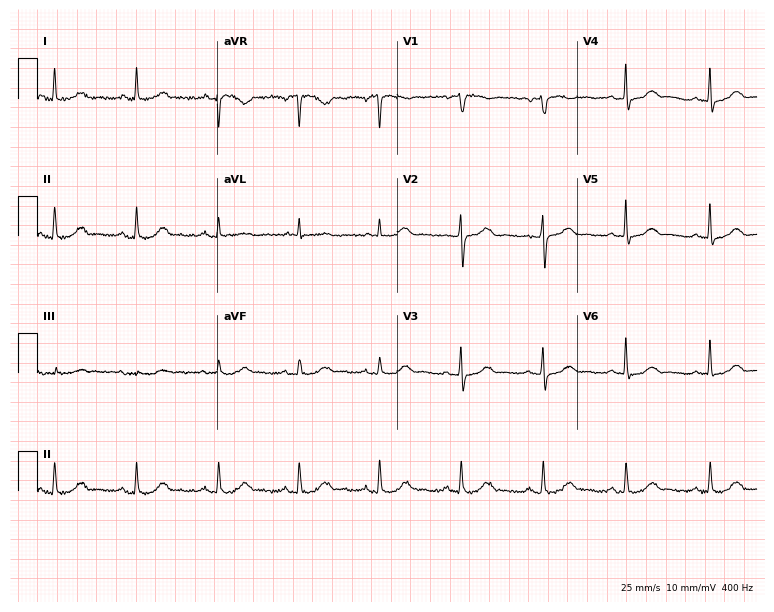
12-lead ECG from a woman, 71 years old. Labelled as a normal ECG.